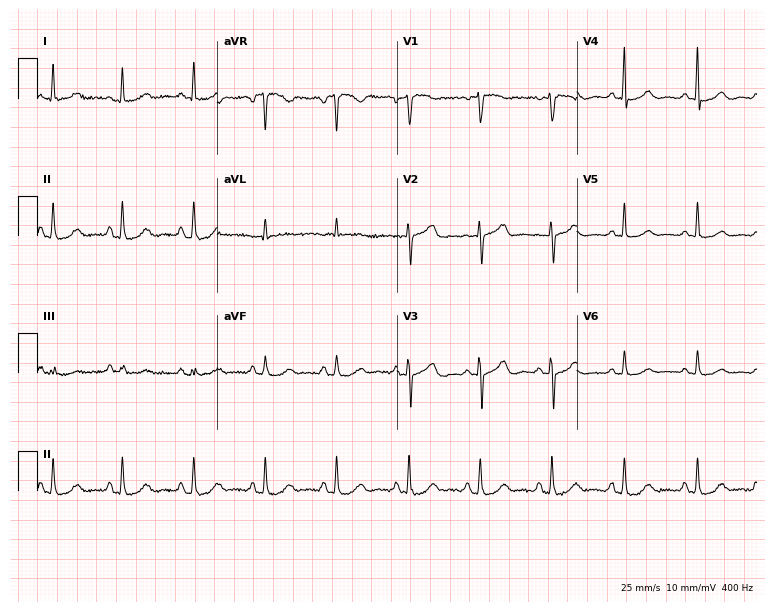
Electrocardiogram (7.3-second recording at 400 Hz), a 67-year-old woman. Of the six screened findings (first-degree AV block, right bundle branch block, left bundle branch block, sinus bradycardia, atrial fibrillation, sinus tachycardia), none is recorded.